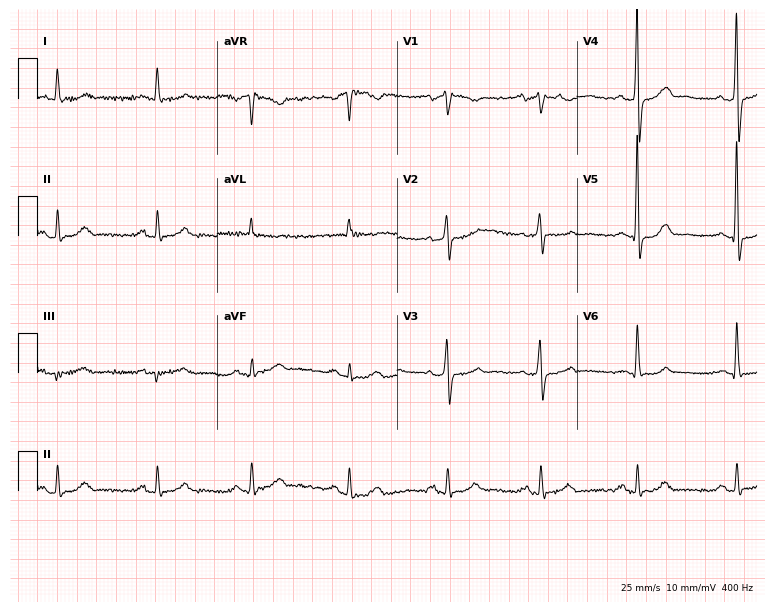
12-lead ECG from a female, 63 years old. Screened for six findings — first-degree AV block, right bundle branch block, left bundle branch block, sinus bradycardia, atrial fibrillation, sinus tachycardia — none is recorded. Findings outside these six are not listed.